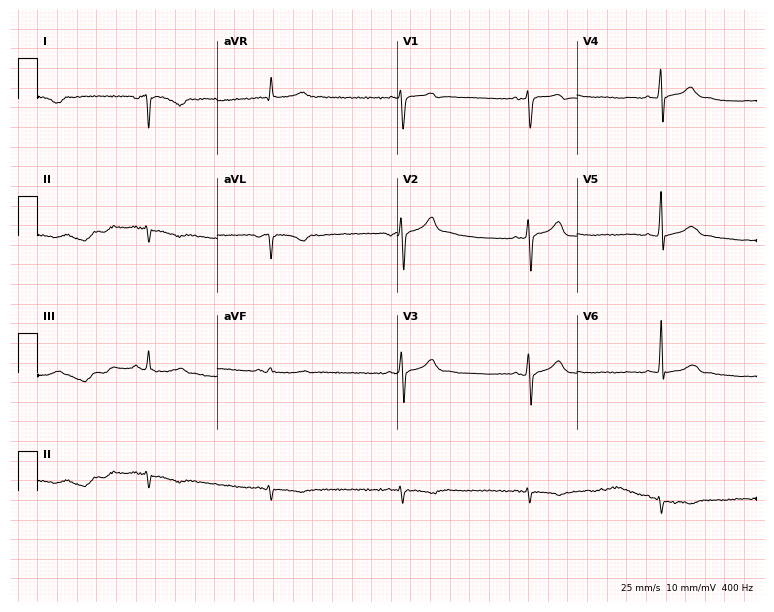
ECG — a man, 40 years old. Screened for six findings — first-degree AV block, right bundle branch block, left bundle branch block, sinus bradycardia, atrial fibrillation, sinus tachycardia — none is recorded.